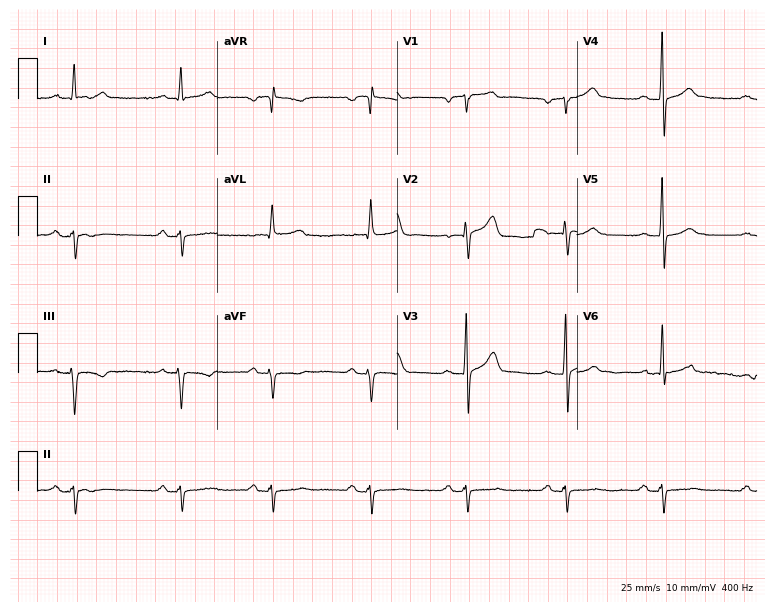
Standard 12-lead ECG recorded from a 63-year-old man (7.3-second recording at 400 Hz). None of these six findings is recorded: first-degree AV block, right bundle branch block, left bundle branch block, sinus bradycardia, atrial fibrillation, sinus tachycardia.